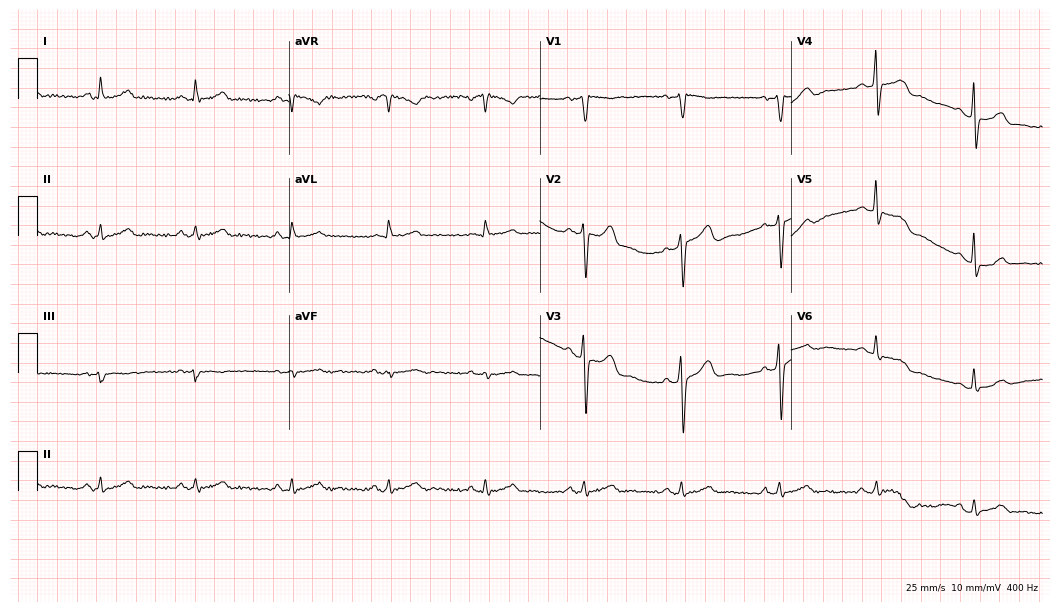
12-lead ECG from a man, 66 years old (10.2-second recording at 400 Hz). Recorded interpretation: within normal limits.